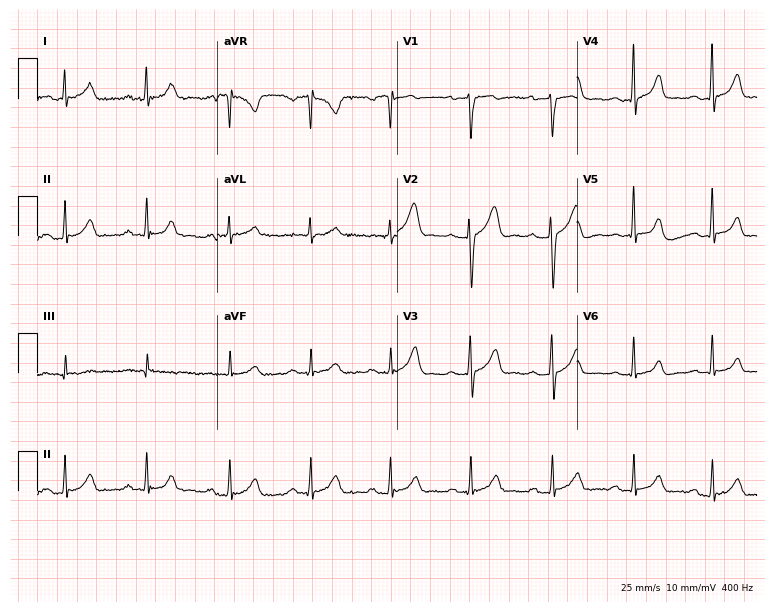
ECG — a male patient, 37 years old. Labelled as a normal ECG.